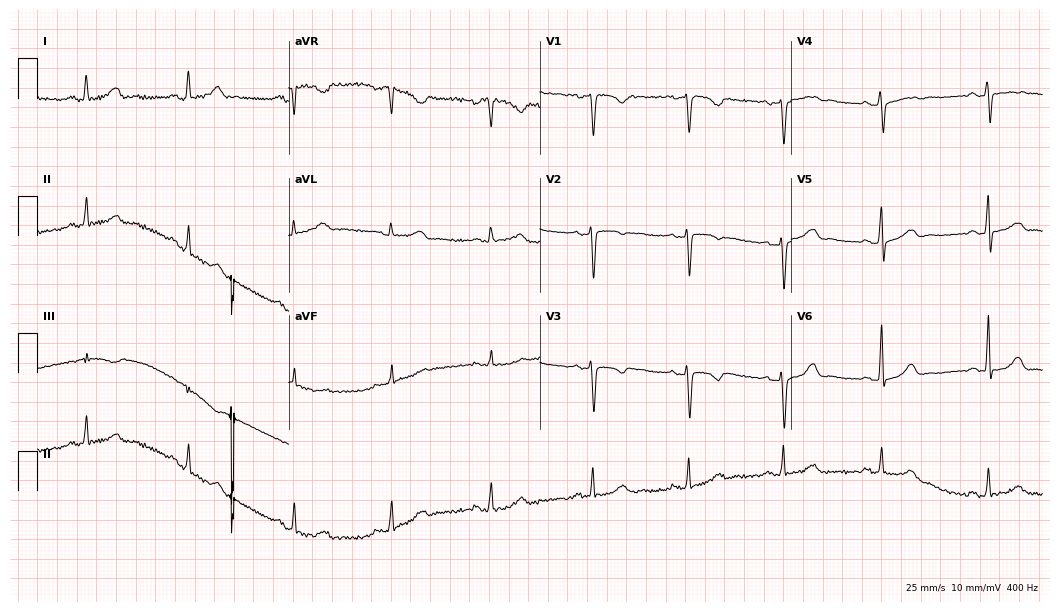
12-lead ECG from a female patient, 37 years old. No first-degree AV block, right bundle branch block, left bundle branch block, sinus bradycardia, atrial fibrillation or sinus tachycardia recorded for this tracing.